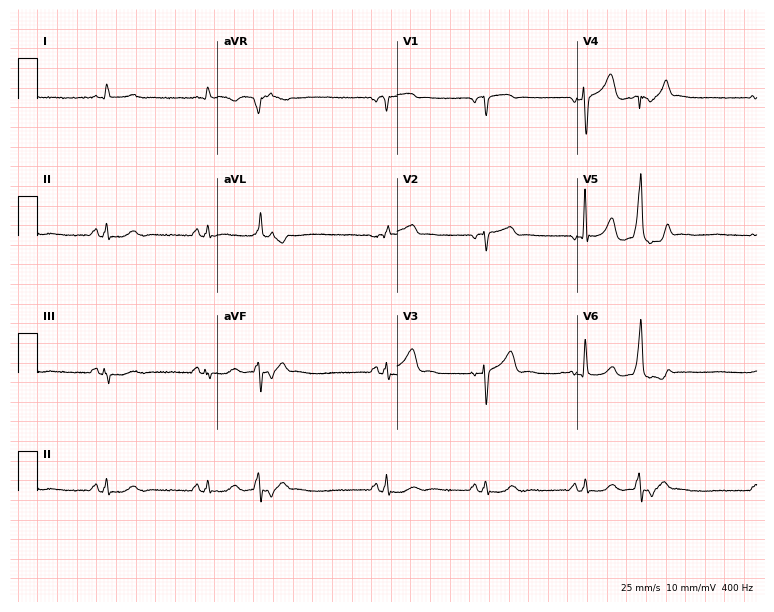
12-lead ECG from a male patient, 80 years old. Screened for six findings — first-degree AV block, right bundle branch block, left bundle branch block, sinus bradycardia, atrial fibrillation, sinus tachycardia — none is recorded. Only these six findings were labelled.